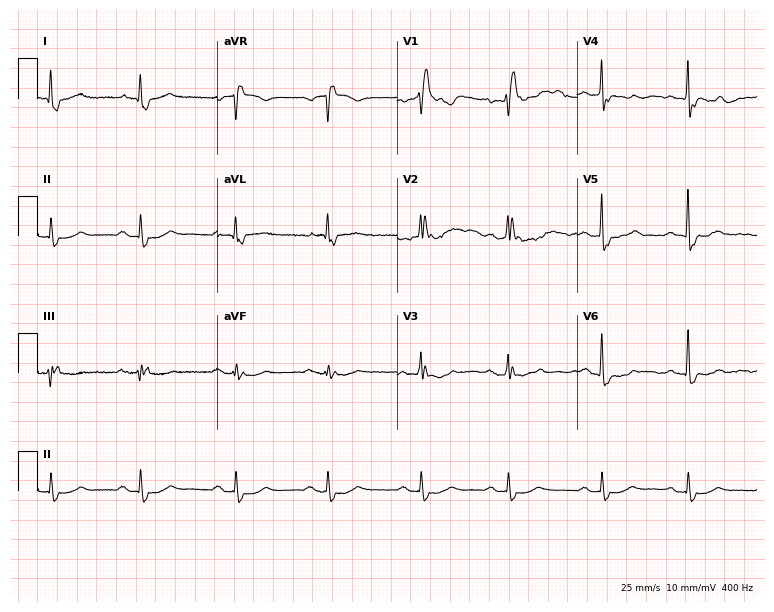
Resting 12-lead electrocardiogram. Patient: a 74-year-old man. None of these six findings is recorded: first-degree AV block, right bundle branch block, left bundle branch block, sinus bradycardia, atrial fibrillation, sinus tachycardia. Other findings, if any, are not listed.